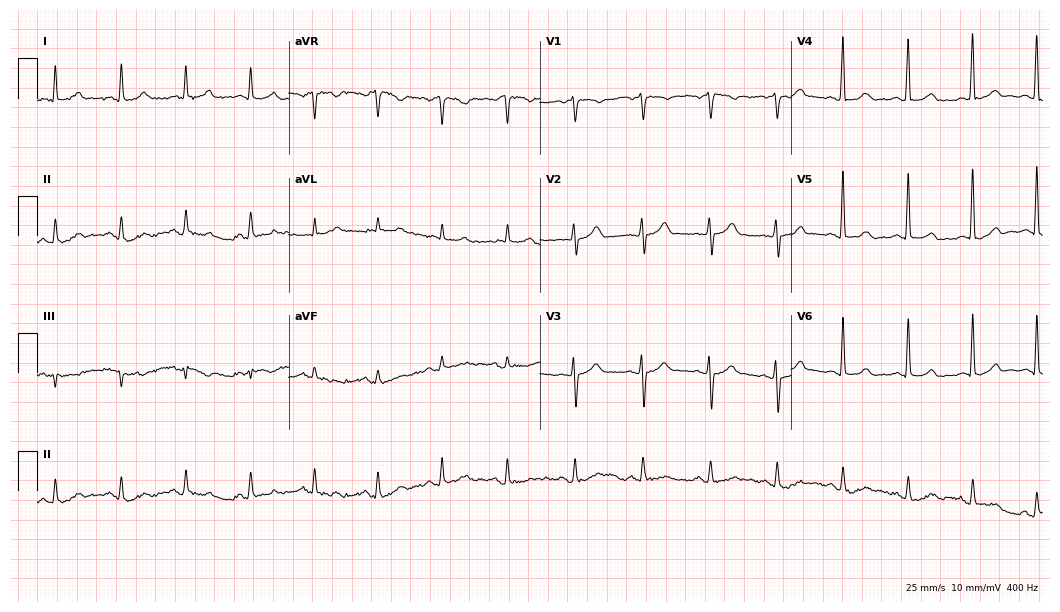
Electrocardiogram, a male patient, 70 years old. Overall reading on record: normal ECG.